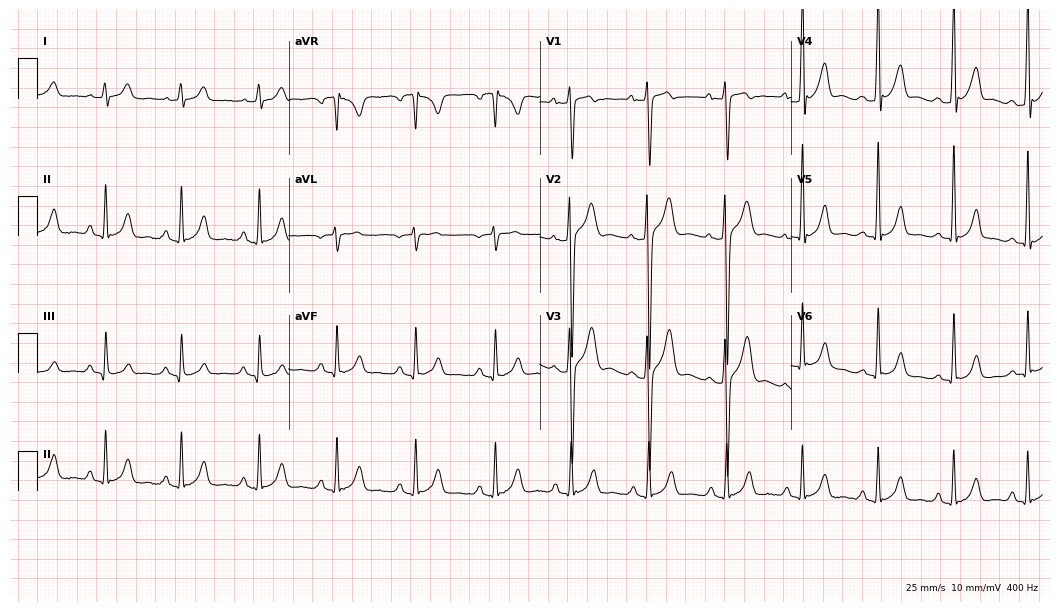
Standard 12-lead ECG recorded from a 27-year-old man. Read as a normal ECG.